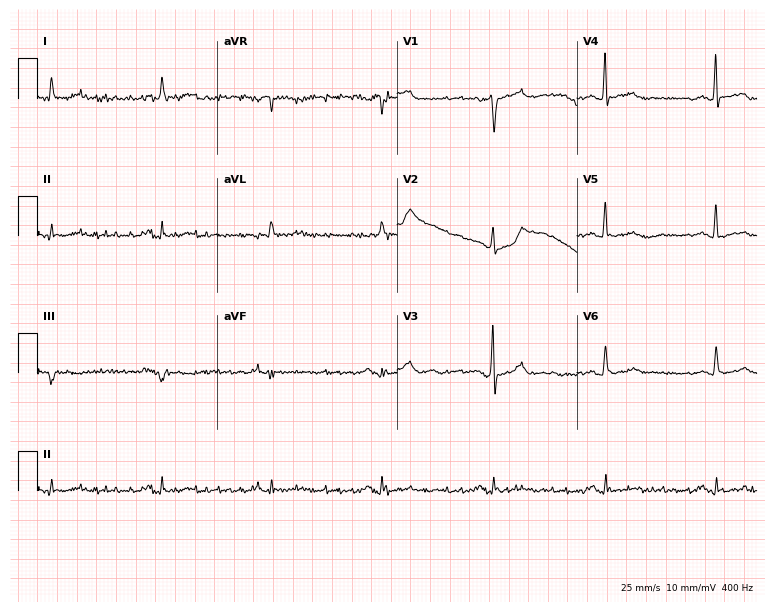
Electrocardiogram, a 68-year-old male patient. Of the six screened findings (first-degree AV block, right bundle branch block, left bundle branch block, sinus bradycardia, atrial fibrillation, sinus tachycardia), none is recorded.